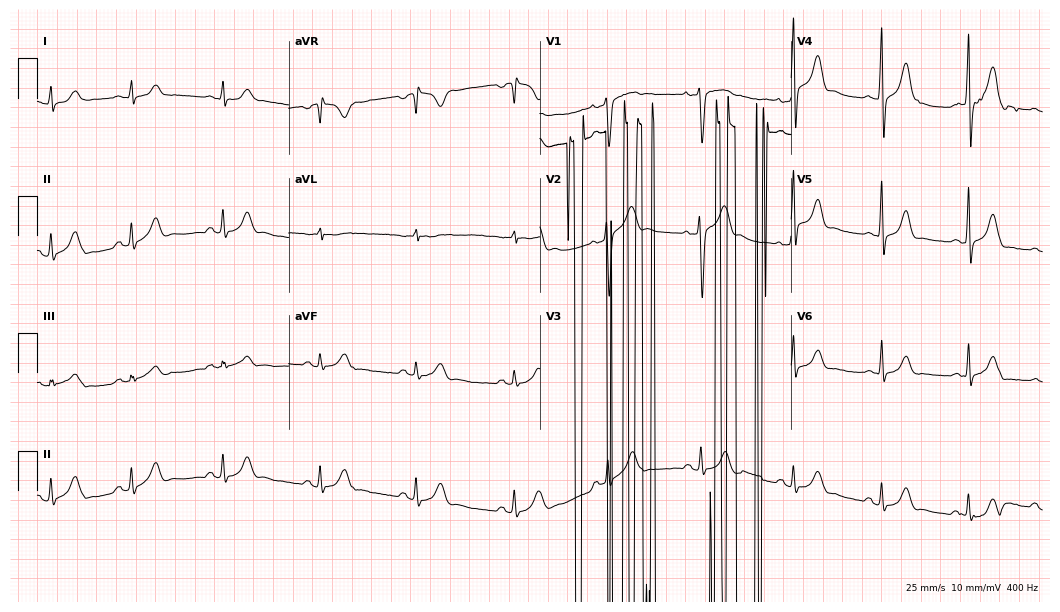
ECG — a 21-year-old male. Screened for six findings — first-degree AV block, right bundle branch block, left bundle branch block, sinus bradycardia, atrial fibrillation, sinus tachycardia — none is recorded.